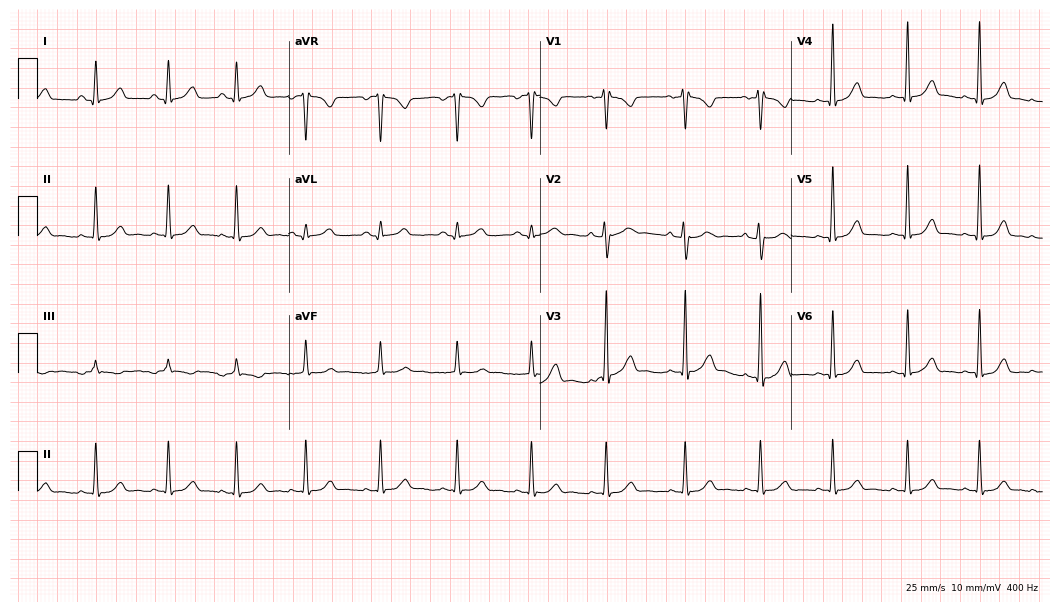
Standard 12-lead ECG recorded from a woman, 19 years old. Read as a normal ECG.